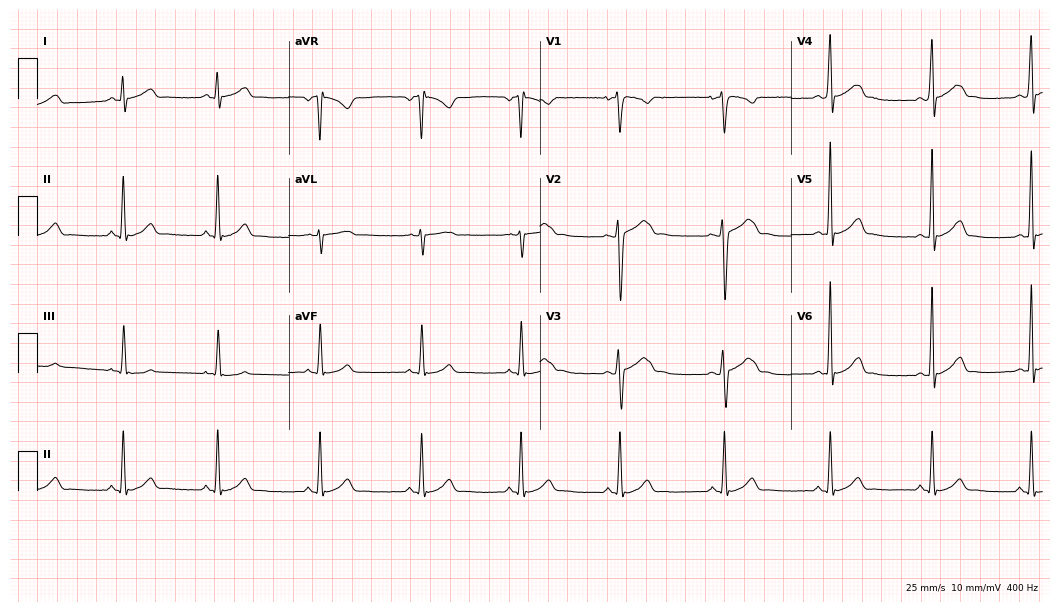
Standard 12-lead ECG recorded from a 17-year-old male patient. Read as a normal ECG.